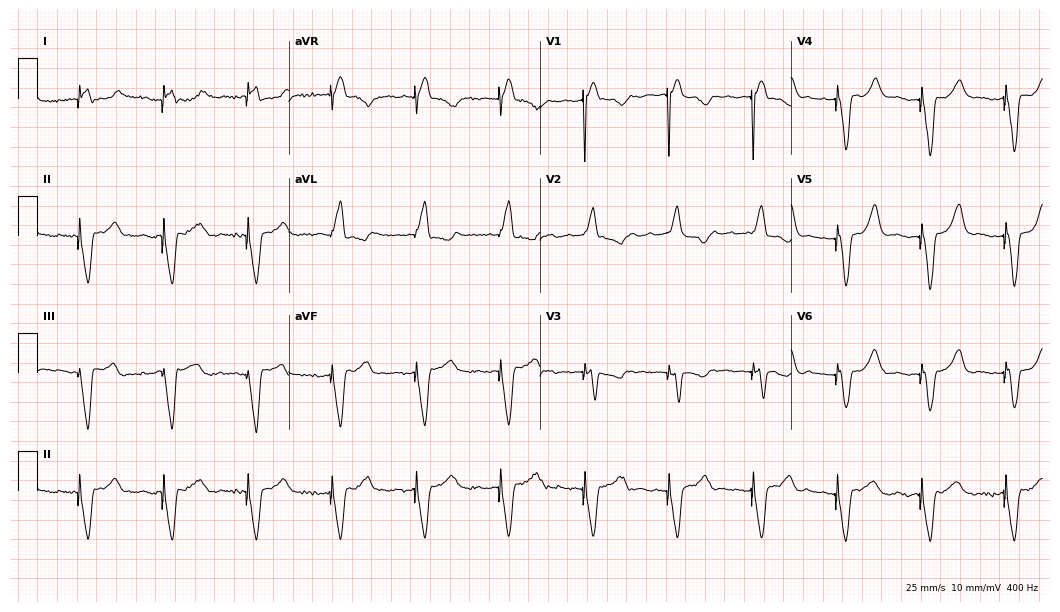
ECG (10.2-second recording at 400 Hz) — an 82-year-old female patient. Screened for six findings — first-degree AV block, right bundle branch block, left bundle branch block, sinus bradycardia, atrial fibrillation, sinus tachycardia — none is recorded. Other findings, if any, are not listed.